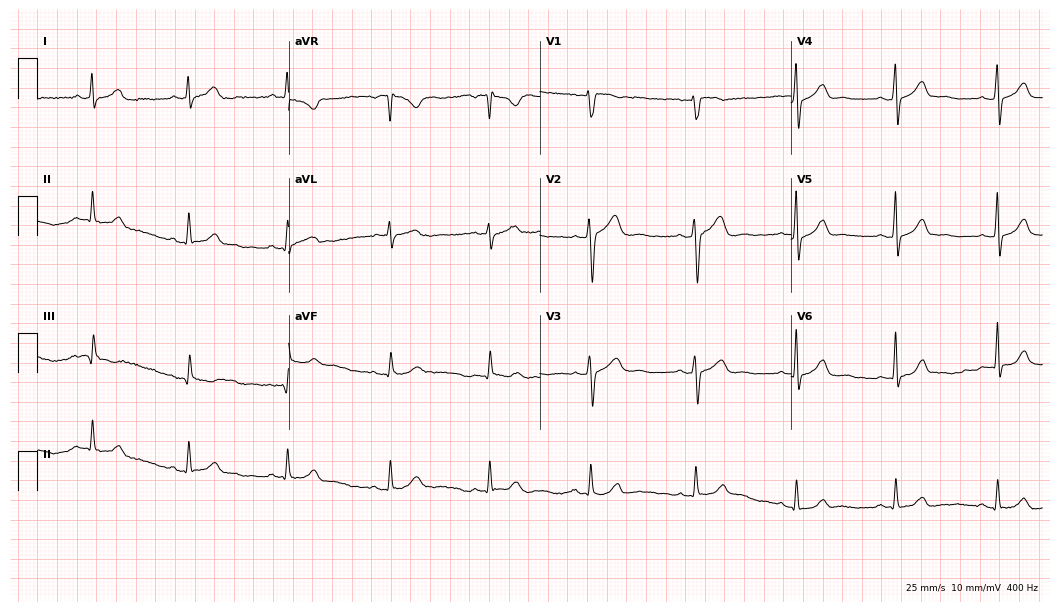
ECG — a 34-year-old woman. Labelled as a normal ECG.